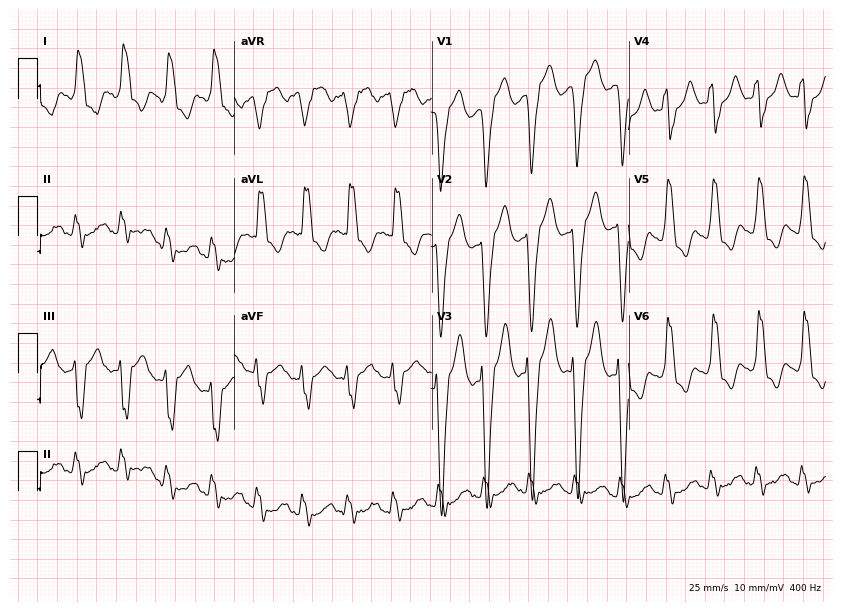
12-lead ECG (8-second recording at 400 Hz) from a 74-year-old woman. Findings include left bundle branch block, atrial fibrillation.